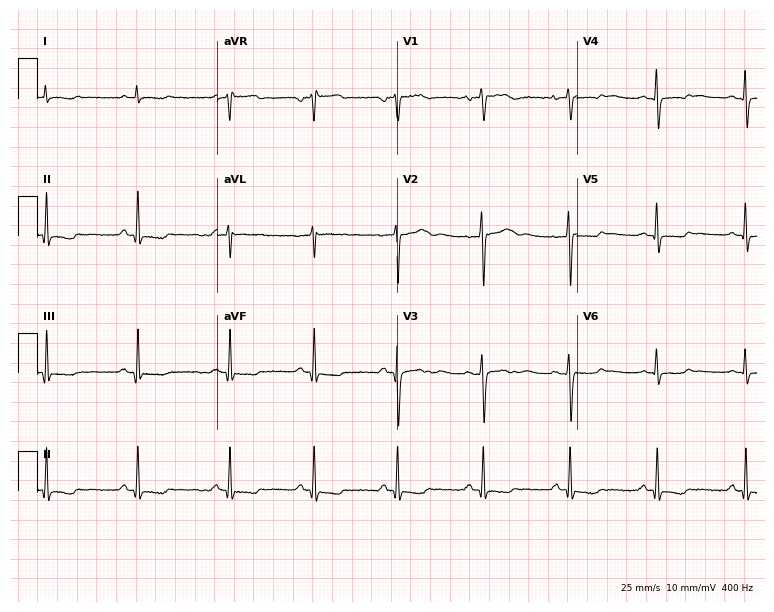
Standard 12-lead ECG recorded from a 51-year-old female patient. None of these six findings is recorded: first-degree AV block, right bundle branch block (RBBB), left bundle branch block (LBBB), sinus bradycardia, atrial fibrillation (AF), sinus tachycardia. Other findings, if any, are not listed.